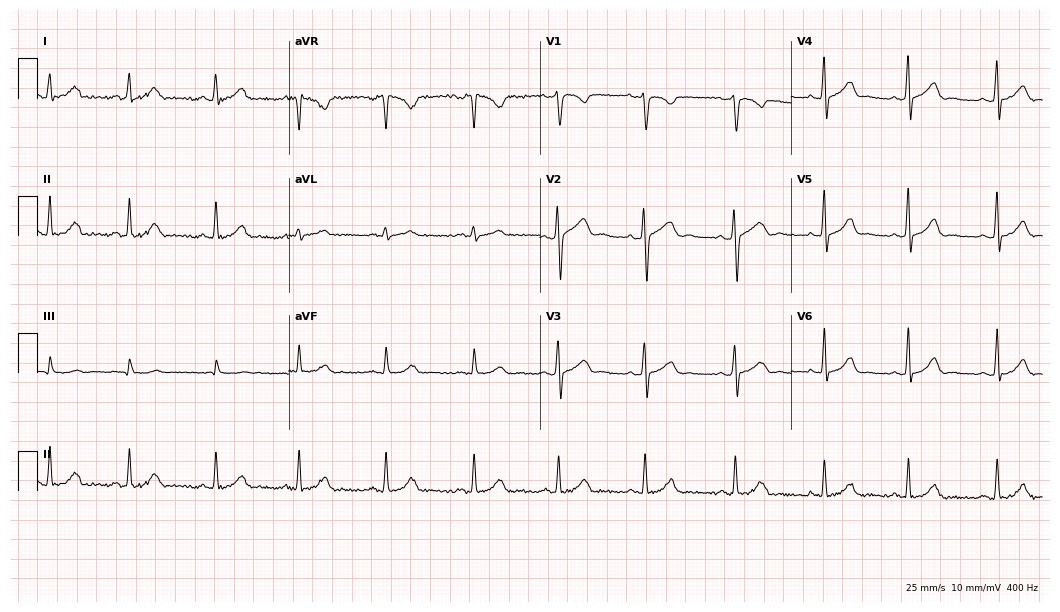
Electrocardiogram (10.2-second recording at 400 Hz), a 31-year-old woman. Overall reading on record: normal ECG.